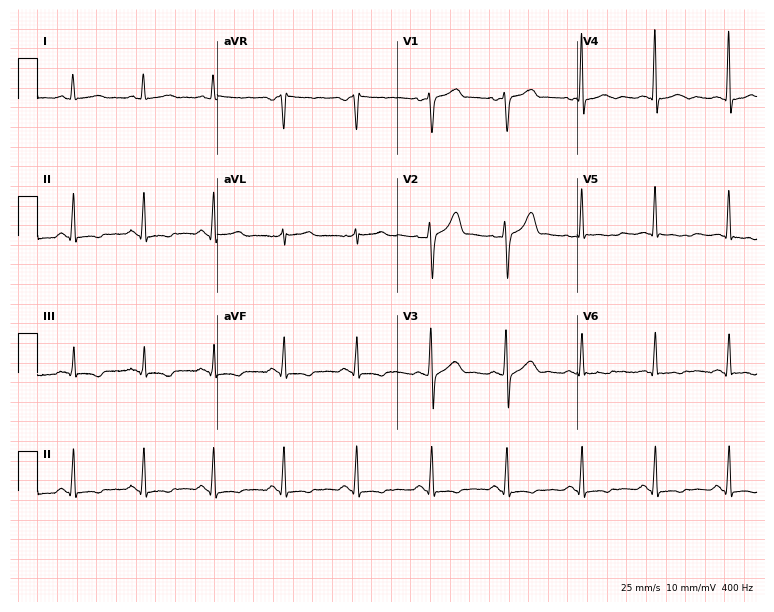
12-lead ECG from a 38-year-old male patient. No first-degree AV block, right bundle branch block (RBBB), left bundle branch block (LBBB), sinus bradycardia, atrial fibrillation (AF) or sinus tachycardia recorded for this tracing.